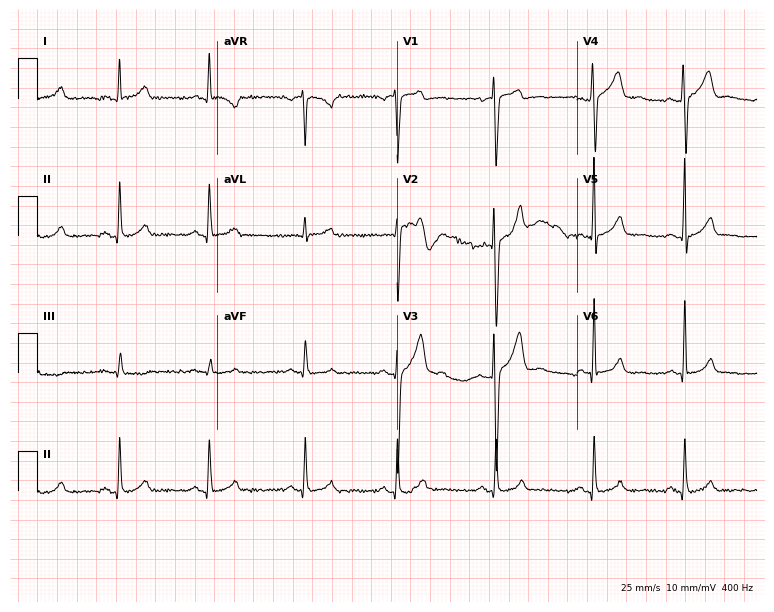
ECG — a 26-year-old male. Screened for six findings — first-degree AV block, right bundle branch block (RBBB), left bundle branch block (LBBB), sinus bradycardia, atrial fibrillation (AF), sinus tachycardia — none is recorded.